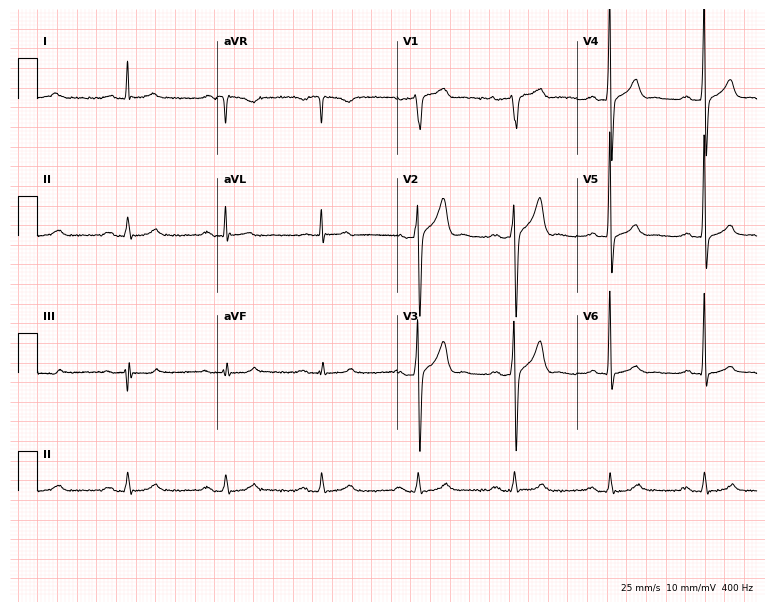
Standard 12-lead ECG recorded from a 50-year-old male. Read as a normal ECG.